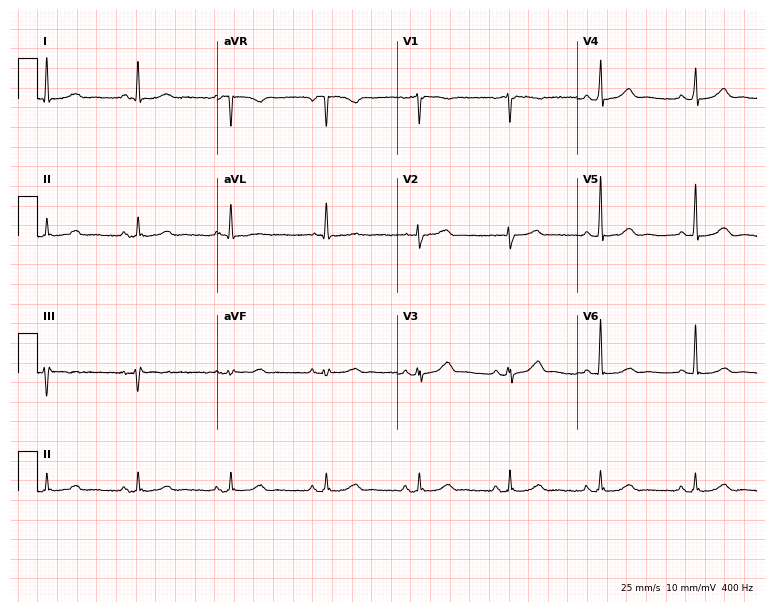
Electrocardiogram (7.3-second recording at 400 Hz), a 52-year-old female patient. Overall reading on record: normal ECG.